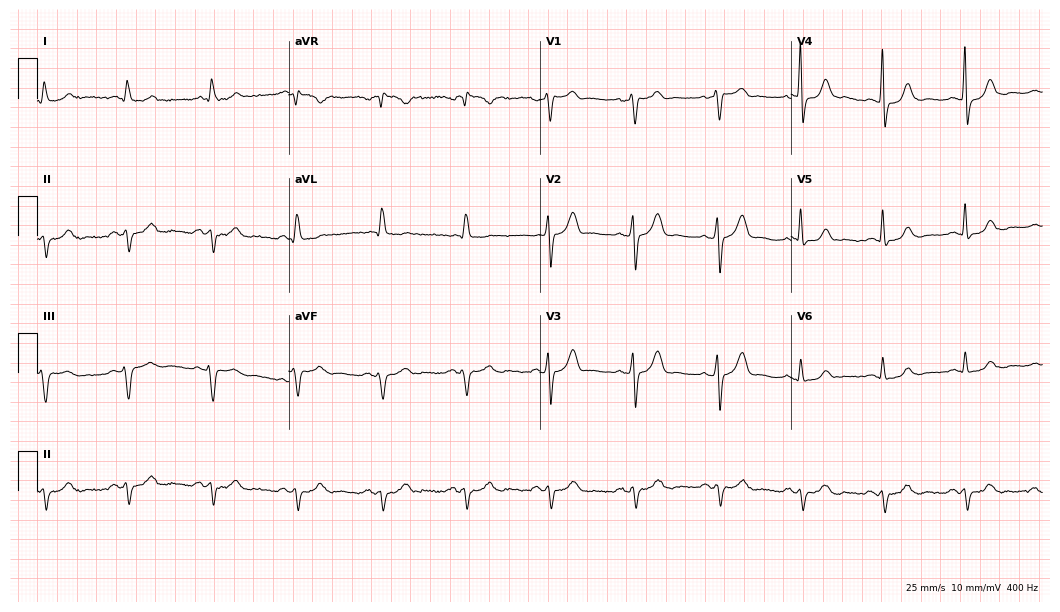
ECG — a man, 61 years old. Screened for six findings — first-degree AV block, right bundle branch block, left bundle branch block, sinus bradycardia, atrial fibrillation, sinus tachycardia — none is recorded. Only these six findings were labelled.